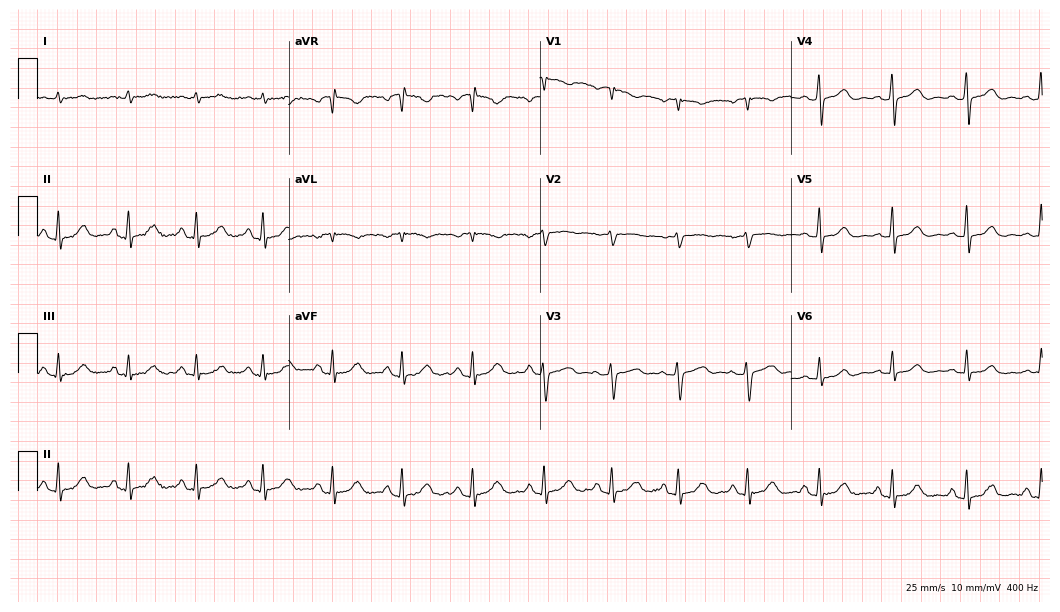
12-lead ECG (10.2-second recording at 400 Hz) from a female patient, 54 years old. Labelled as a normal ECG.